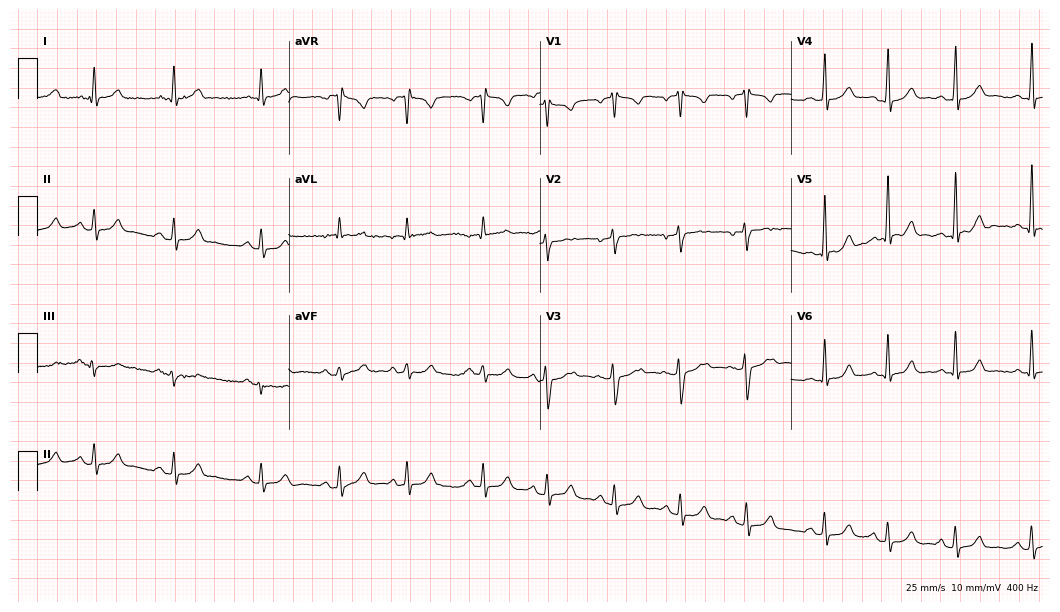
Standard 12-lead ECG recorded from a woman, 38 years old. Read as a normal ECG.